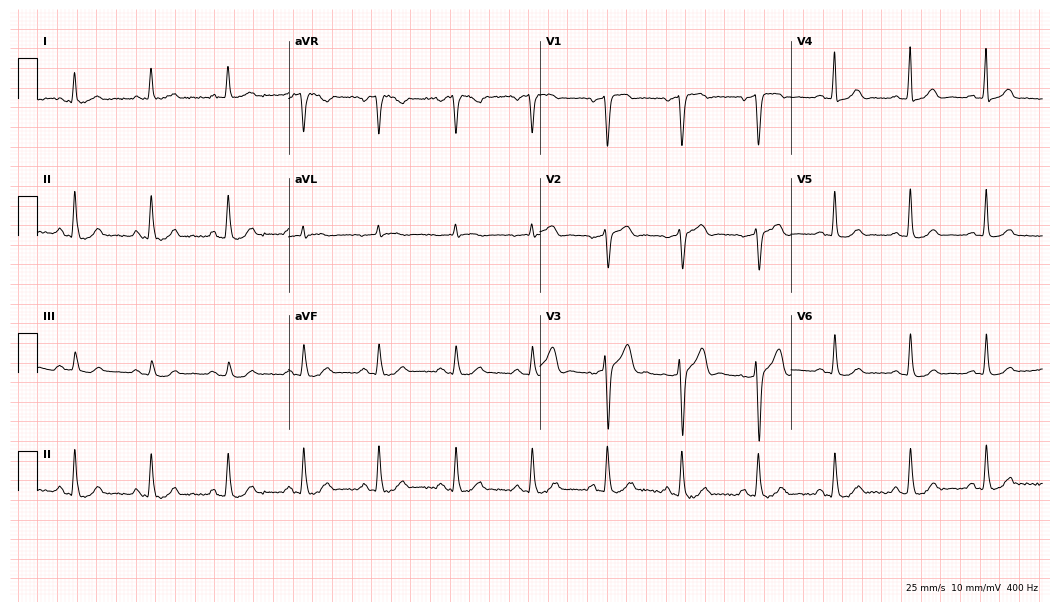
ECG — an 81-year-old male. Screened for six findings — first-degree AV block, right bundle branch block, left bundle branch block, sinus bradycardia, atrial fibrillation, sinus tachycardia — none is recorded.